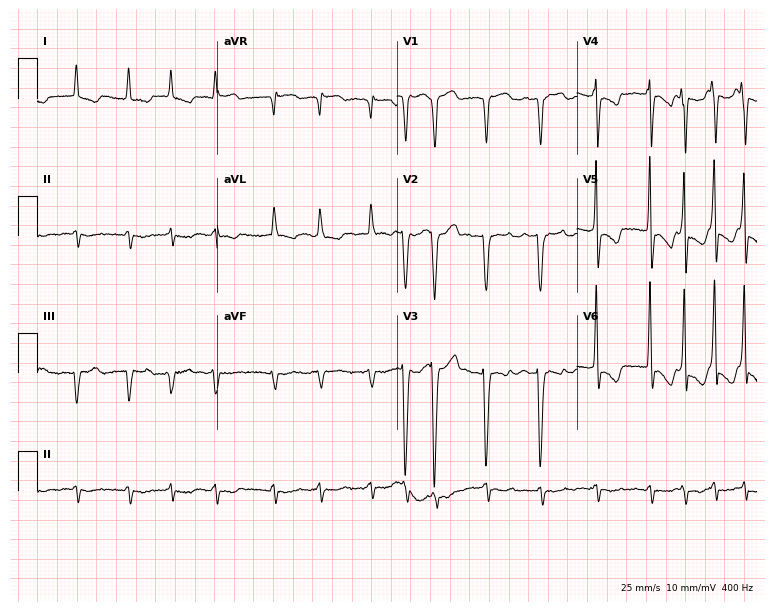
12-lead ECG (7.3-second recording at 400 Hz) from a female patient, 81 years old. Findings include atrial fibrillation.